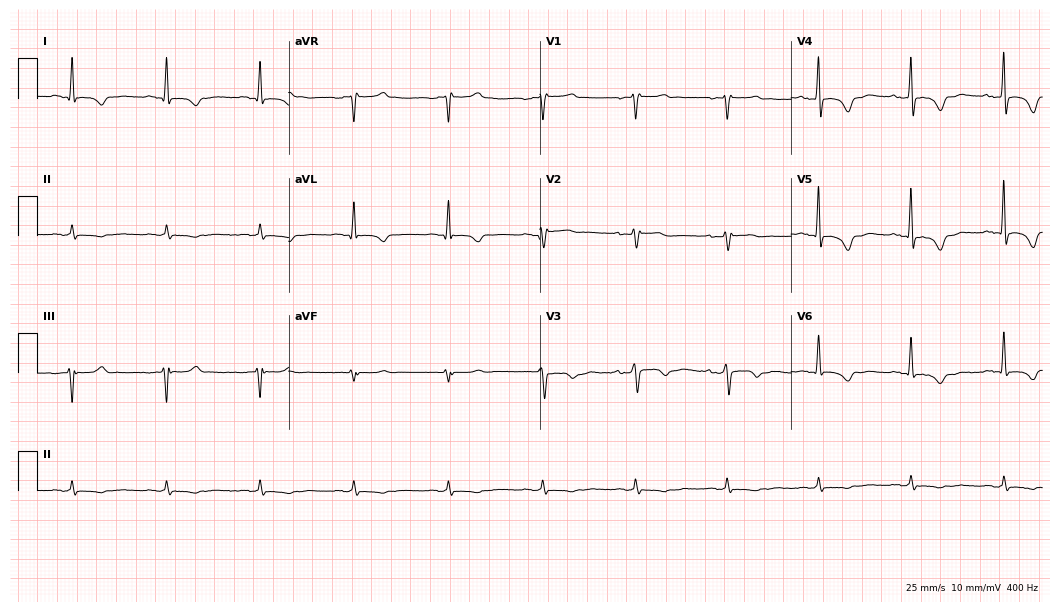
Resting 12-lead electrocardiogram (10.2-second recording at 400 Hz). Patient: a male, 53 years old. None of these six findings is recorded: first-degree AV block, right bundle branch block, left bundle branch block, sinus bradycardia, atrial fibrillation, sinus tachycardia.